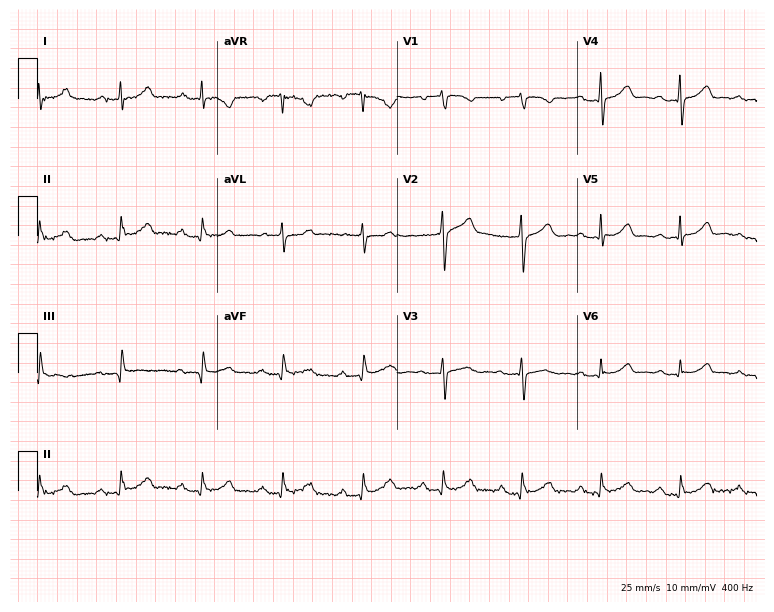
ECG — a female patient, 59 years old. Findings include first-degree AV block.